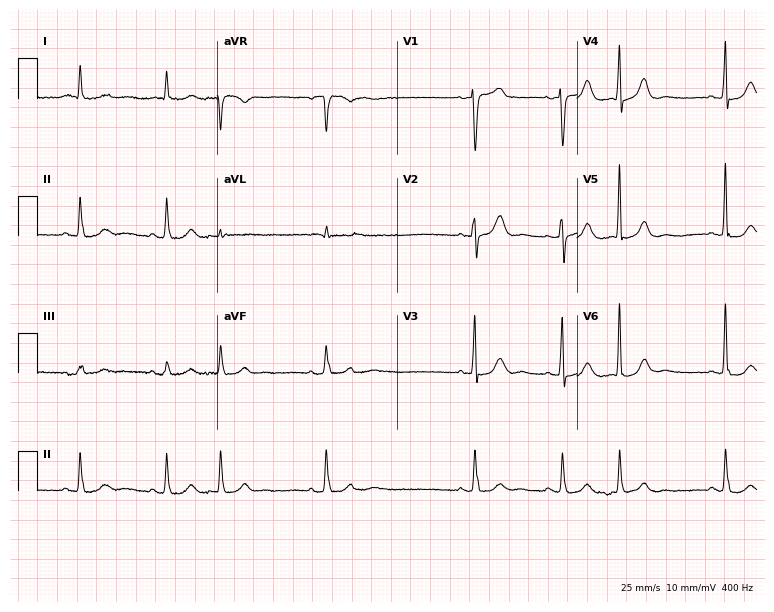
12-lead ECG (7.3-second recording at 400 Hz) from an 83-year-old man. Screened for six findings — first-degree AV block, right bundle branch block, left bundle branch block, sinus bradycardia, atrial fibrillation, sinus tachycardia — none is recorded.